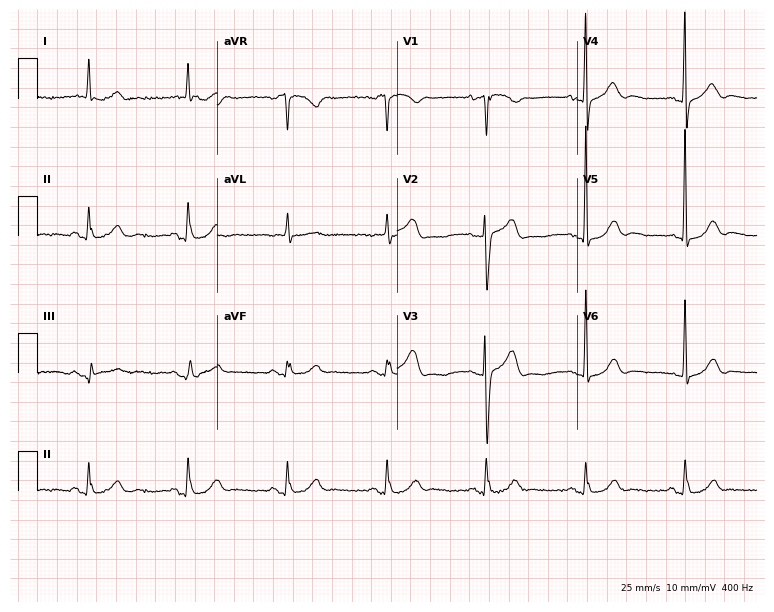
ECG (7.3-second recording at 400 Hz) — a 78-year-old man. Screened for six findings — first-degree AV block, right bundle branch block, left bundle branch block, sinus bradycardia, atrial fibrillation, sinus tachycardia — none is recorded. Other findings, if any, are not listed.